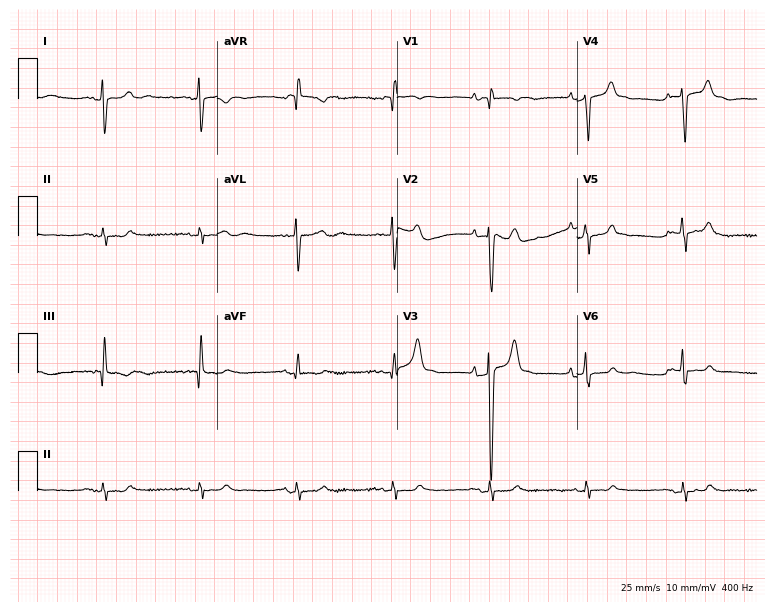
12-lead ECG (7.3-second recording at 400 Hz) from a woman, 64 years old. Screened for six findings — first-degree AV block, right bundle branch block (RBBB), left bundle branch block (LBBB), sinus bradycardia, atrial fibrillation (AF), sinus tachycardia — none is recorded.